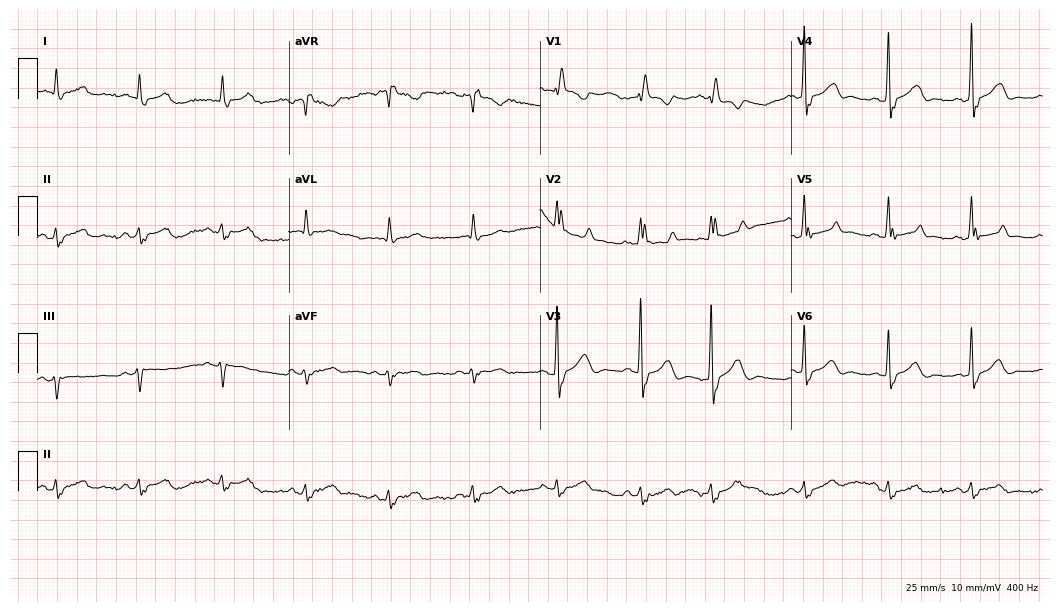
Electrocardiogram (10.2-second recording at 400 Hz), a male, 82 years old. Interpretation includes right bundle branch block (RBBB), atrial fibrillation (AF).